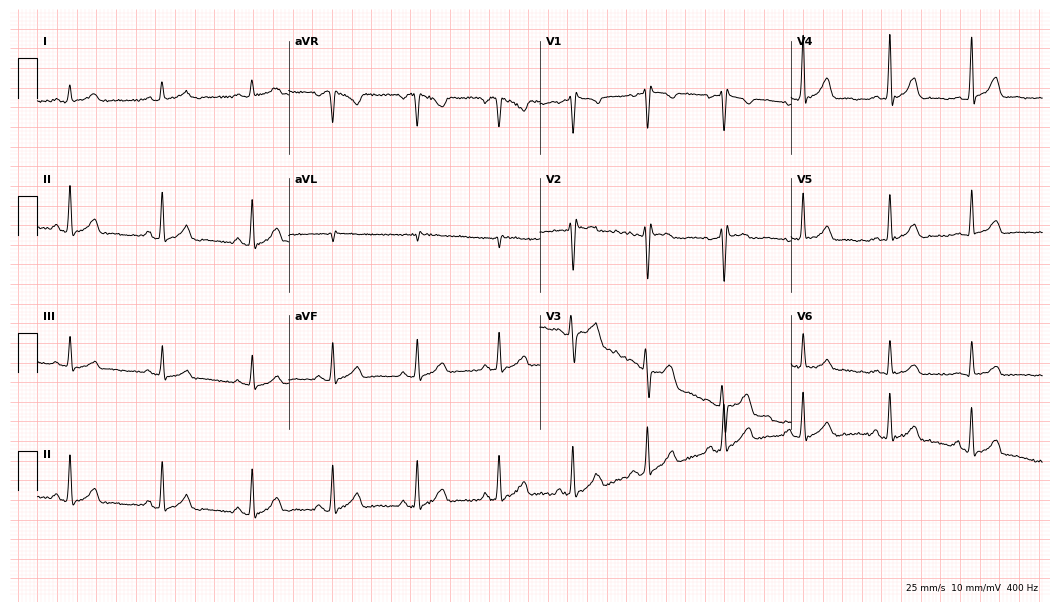
ECG (10.2-second recording at 400 Hz) — a woman, 26 years old. Screened for six findings — first-degree AV block, right bundle branch block, left bundle branch block, sinus bradycardia, atrial fibrillation, sinus tachycardia — none is recorded.